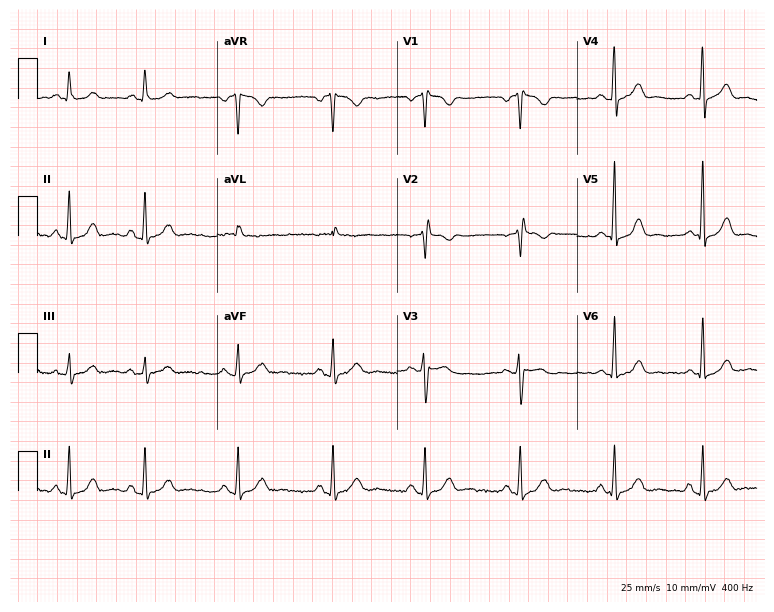
12-lead ECG from a 58-year-old female patient. Screened for six findings — first-degree AV block, right bundle branch block, left bundle branch block, sinus bradycardia, atrial fibrillation, sinus tachycardia — none is recorded.